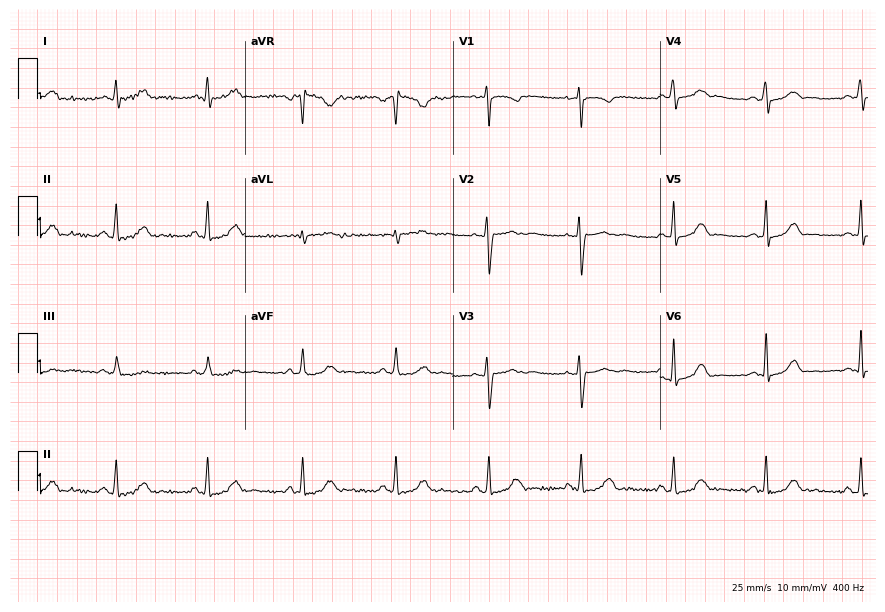
12-lead ECG from a 25-year-old woman. Recorded interpretation: within normal limits.